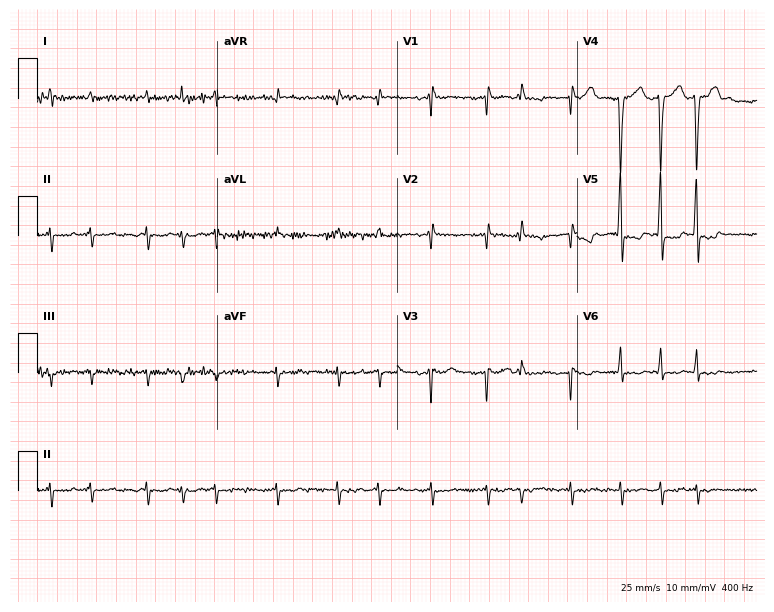
Standard 12-lead ECG recorded from a male patient, 69 years old (7.3-second recording at 400 Hz). None of these six findings is recorded: first-degree AV block, right bundle branch block (RBBB), left bundle branch block (LBBB), sinus bradycardia, atrial fibrillation (AF), sinus tachycardia.